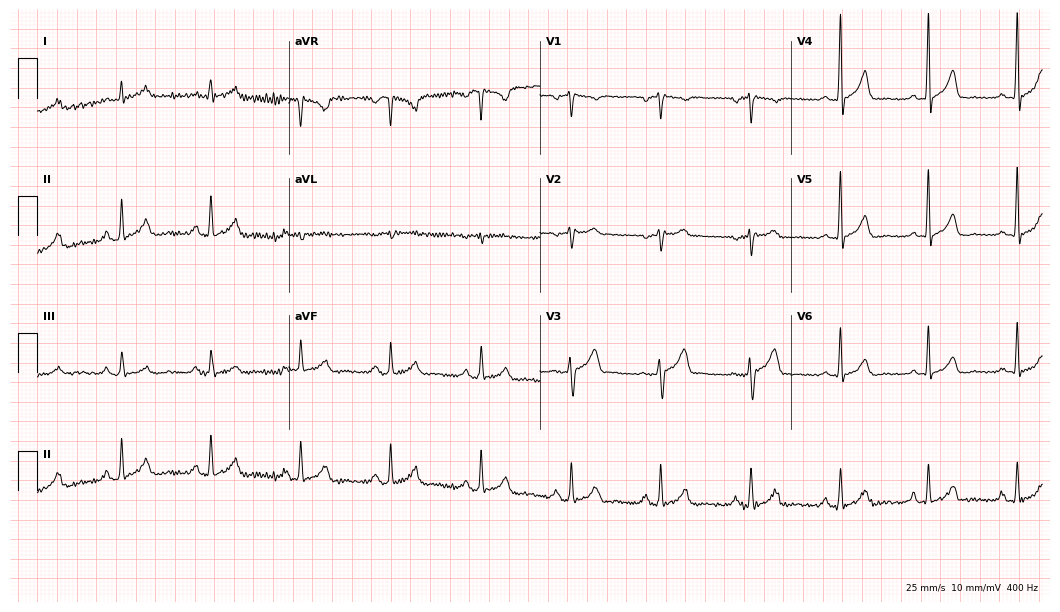
12-lead ECG from a man, 47 years old (10.2-second recording at 400 Hz). No first-degree AV block, right bundle branch block (RBBB), left bundle branch block (LBBB), sinus bradycardia, atrial fibrillation (AF) or sinus tachycardia recorded for this tracing.